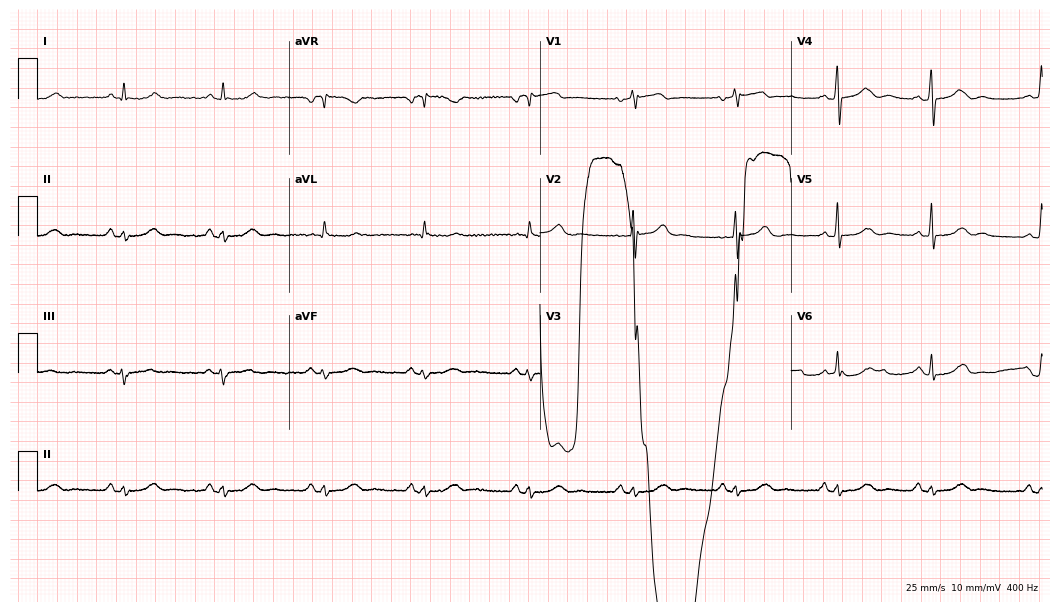
Standard 12-lead ECG recorded from a female patient, 64 years old. None of these six findings is recorded: first-degree AV block, right bundle branch block, left bundle branch block, sinus bradycardia, atrial fibrillation, sinus tachycardia. Findings outside these six are not listed.